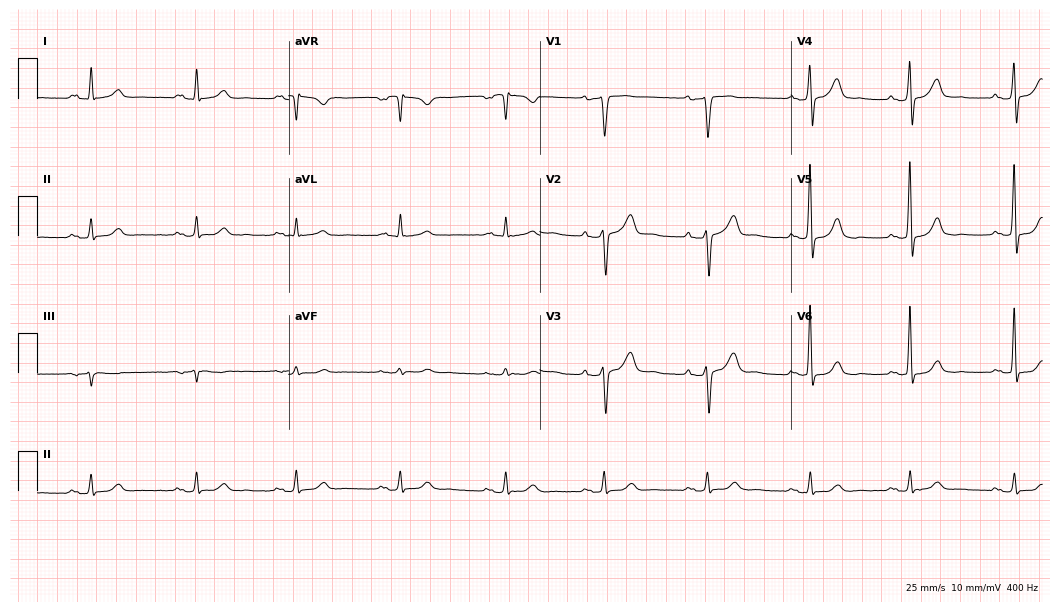
Resting 12-lead electrocardiogram (10.2-second recording at 400 Hz). Patient: a male, 62 years old. None of these six findings is recorded: first-degree AV block, right bundle branch block, left bundle branch block, sinus bradycardia, atrial fibrillation, sinus tachycardia. Other findings, if any, are not listed.